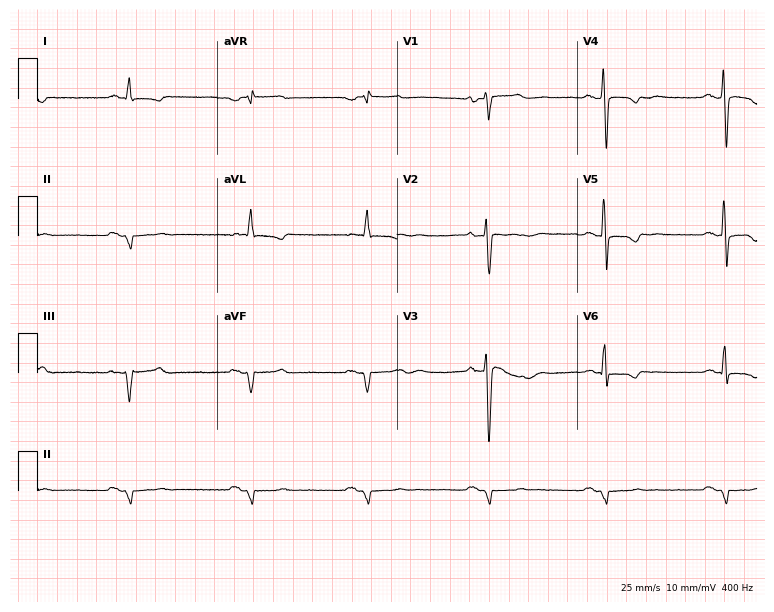
12-lead ECG from a man, 54 years old (7.3-second recording at 400 Hz). No first-degree AV block, right bundle branch block (RBBB), left bundle branch block (LBBB), sinus bradycardia, atrial fibrillation (AF) or sinus tachycardia recorded for this tracing. Only these six findings were labelled.